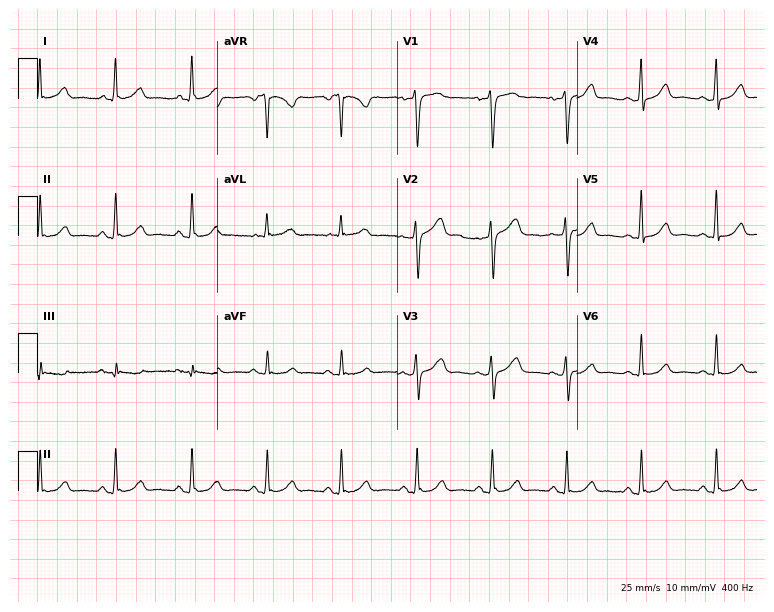
12-lead ECG from a 58-year-old female (7.3-second recording at 400 Hz). Recorded interpretation: within normal limits.